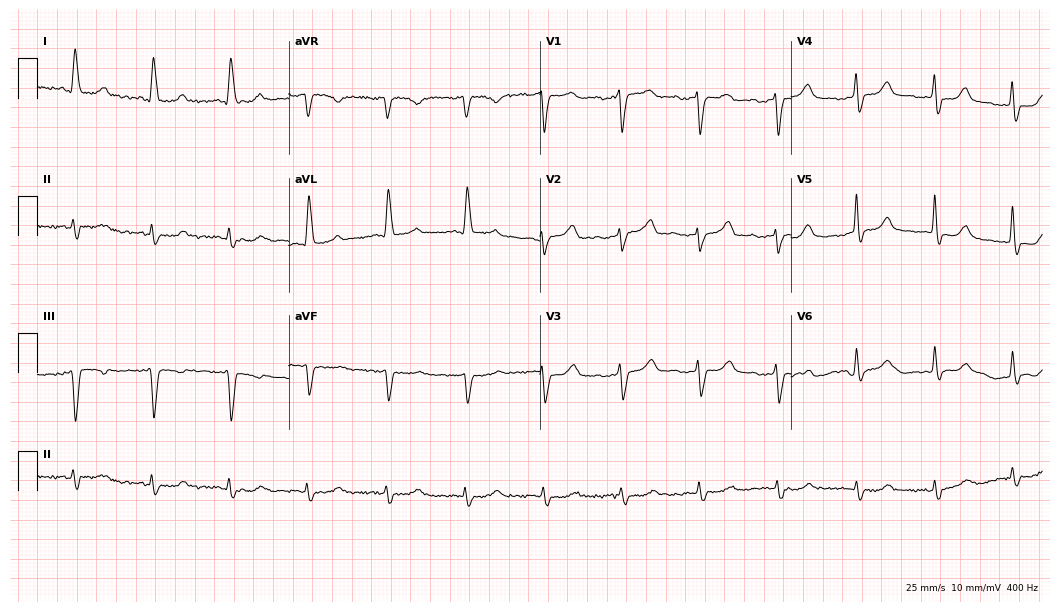
Resting 12-lead electrocardiogram. Patient: an 82-year-old woman. None of these six findings is recorded: first-degree AV block, right bundle branch block (RBBB), left bundle branch block (LBBB), sinus bradycardia, atrial fibrillation (AF), sinus tachycardia.